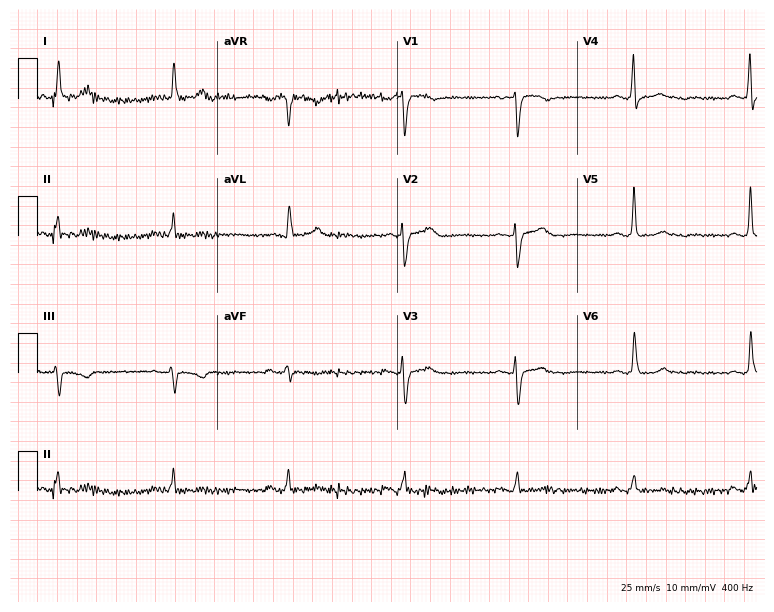
ECG (7.3-second recording at 400 Hz) — a 69-year-old female. Screened for six findings — first-degree AV block, right bundle branch block, left bundle branch block, sinus bradycardia, atrial fibrillation, sinus tachycardia — none is recorded.